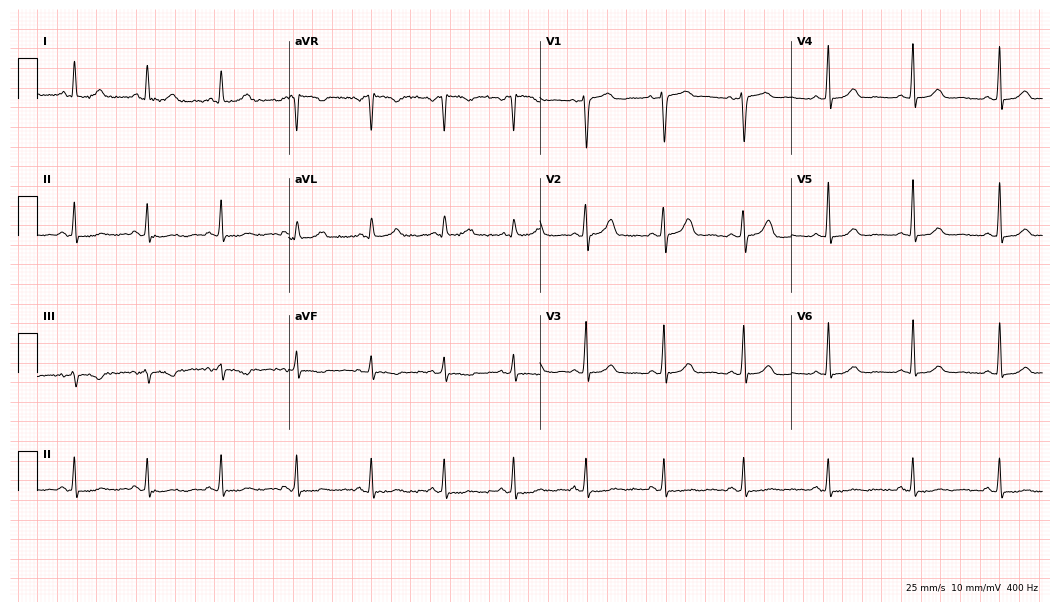
Standard 12-lead ECG recorded from a female, 44 years old. None of these six findings is recorded: first-degree AV block, right bundle branch block, left bundle branch block, sinus bradycardia, atrial fibrillation, sinus tachycardia.